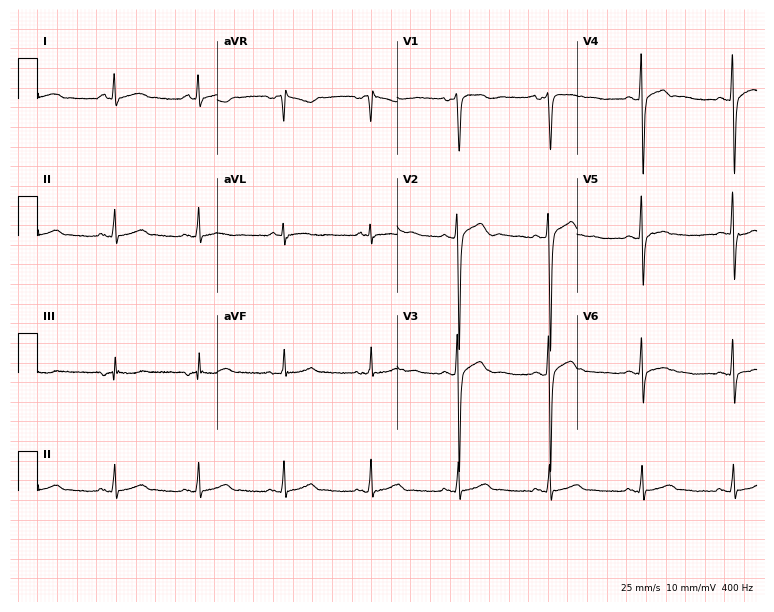
Electrocardiogram, a 51-year-old male patient. Overall reading on record: normal ECG.